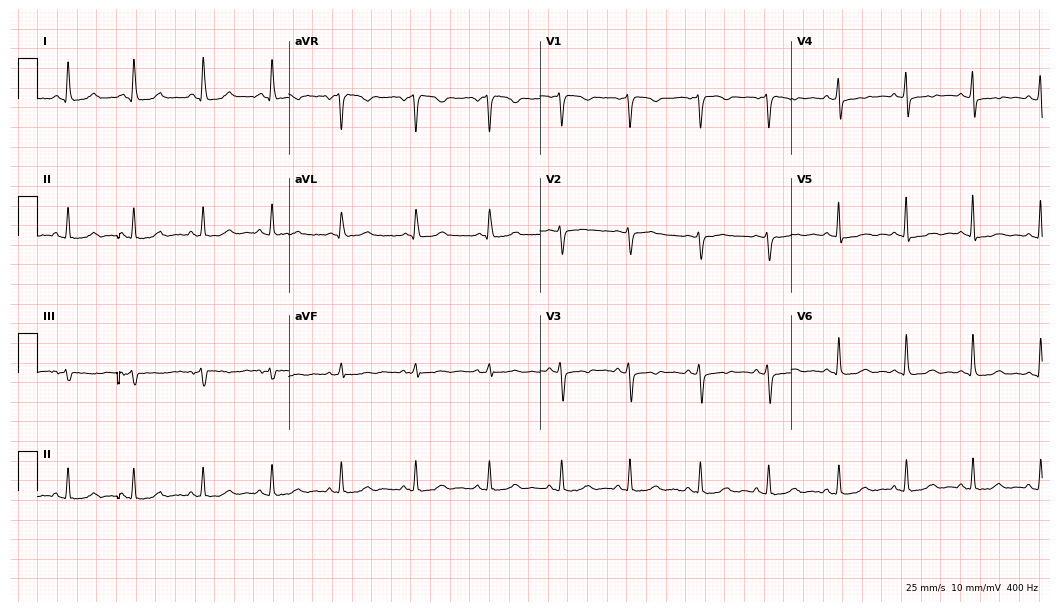
Electrocardiogram (10.2-second recording at 400 Hz), a female, 50 years old. Of the six screened findings (first-degree AV block, right bundle branch block, left bundle branch block, sinus bradycardia, atrial fibrillation, sinus tachycardia), none is recorded. Only these six findings were labelled.